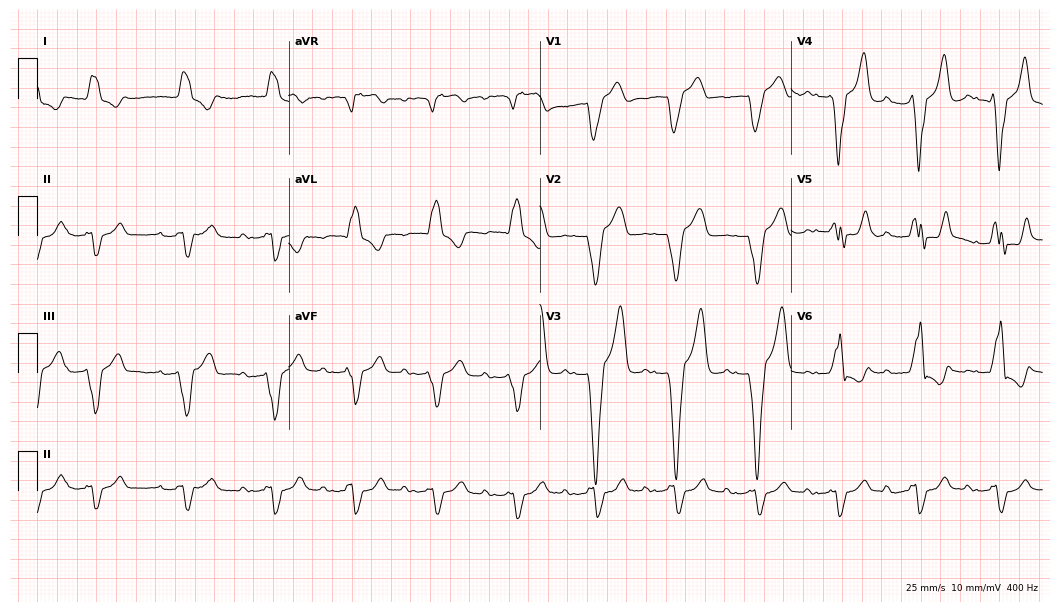
12-lead ECG from a male, 74 years old. Shows first-degree AV block, left bundle branch block.